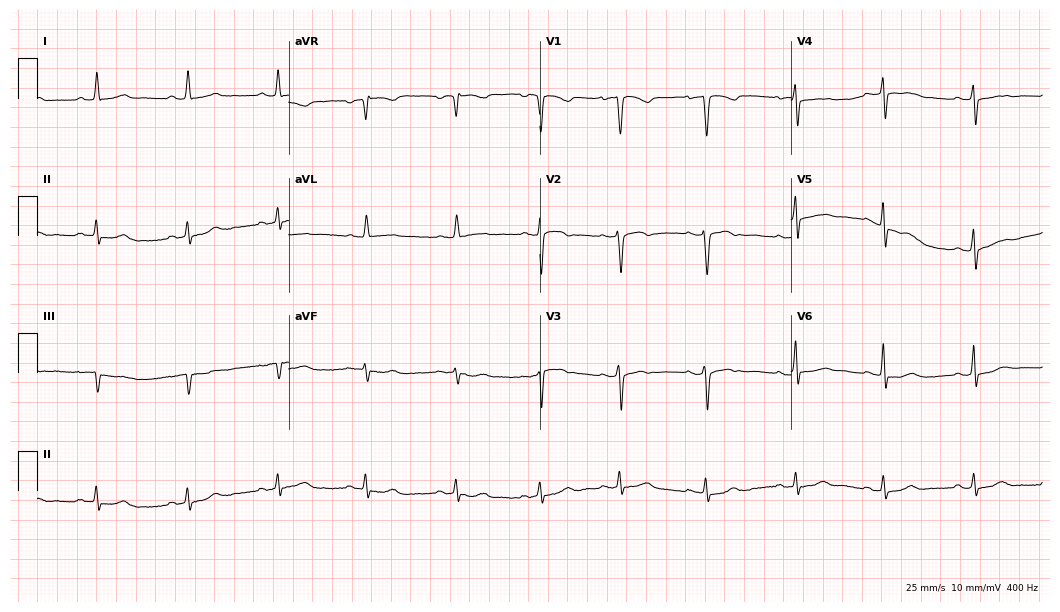
12-lead ECG from a female, 43 years old. No first-degree AV block, right bundle branch block, left bundle branch block, sinus bradycardia, atrial fibrillation or sinus tachycardia recorded for this tracing.